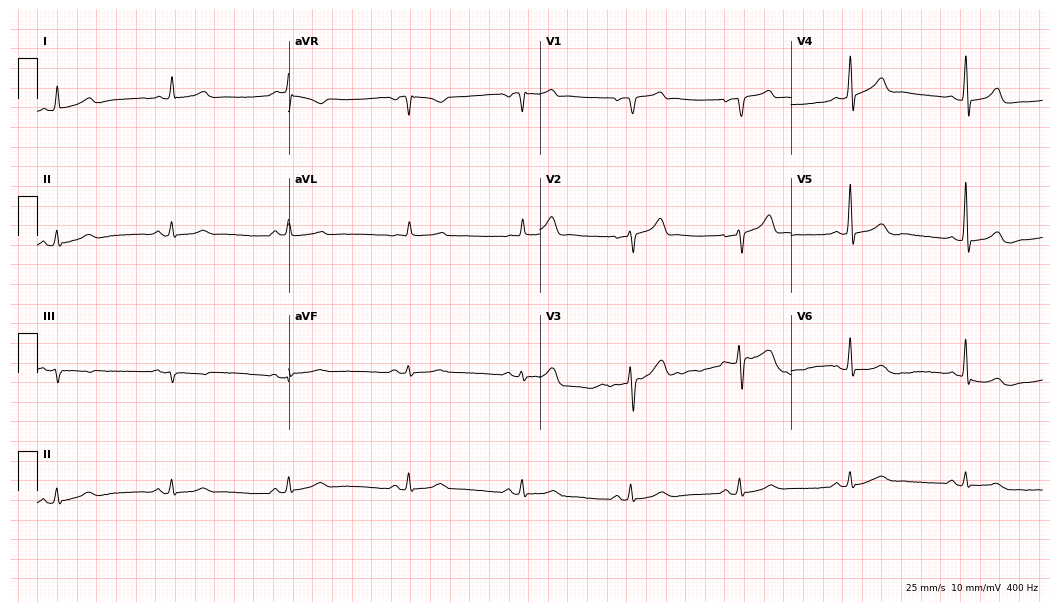
Resting 12-lead electrocardiogram (10.2-second recording at 400 Hz). Patient: a man, 77 years old. None of these six findings is recorded: first-degree AV block, right bundle branch block (RBBB), left bundle branch block (LBBB), sinus bradycardia, atrial fibrillation (AF), sinus tachycardia. Other findings, if any, are not listed.